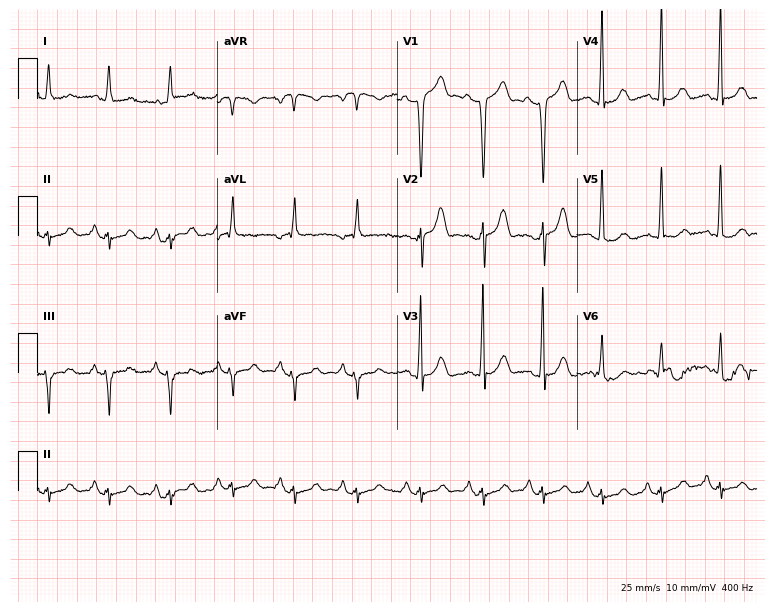
12-lead ECG from a 72-year-old male patient. No first-degree AV block, right bundle branch block, left bundle branch block, sinus bradycardia, atrial fibrillation or sinus tachycardia recorded for this tracing. Other findings, if any, are not listed.